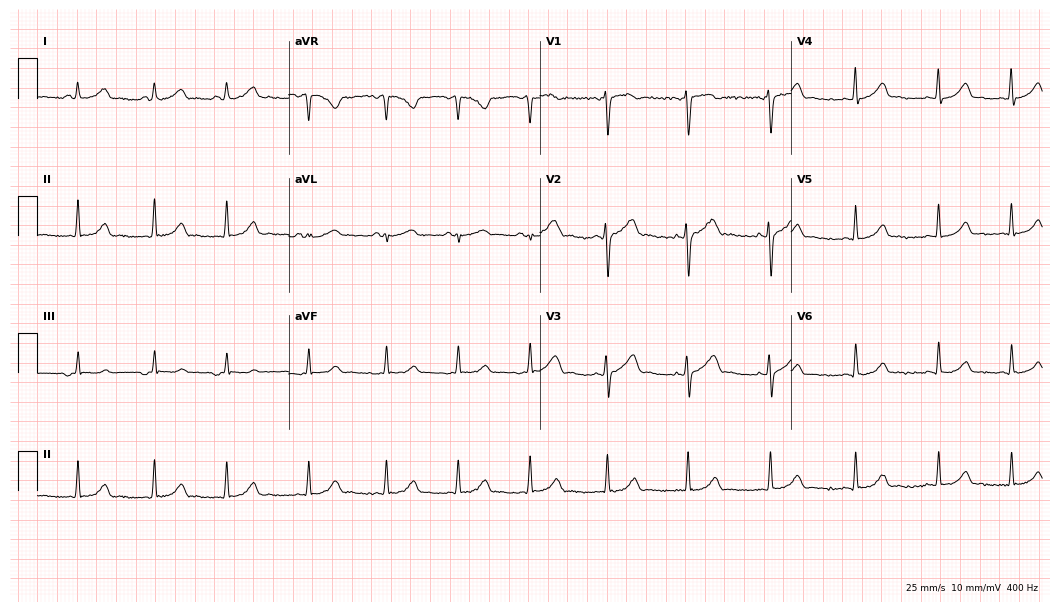
12-lead ECG from a 33-year-old female (10.2-second recording at 400 Hz). No first-degree AV block, right bundle branch block (RBBB), left bundle branch block (LBBB), sinus bradycardia, atrial fibrillation (AF) or sinus tachycardia recorded for this tracing. Other findings, if any, are not listed.